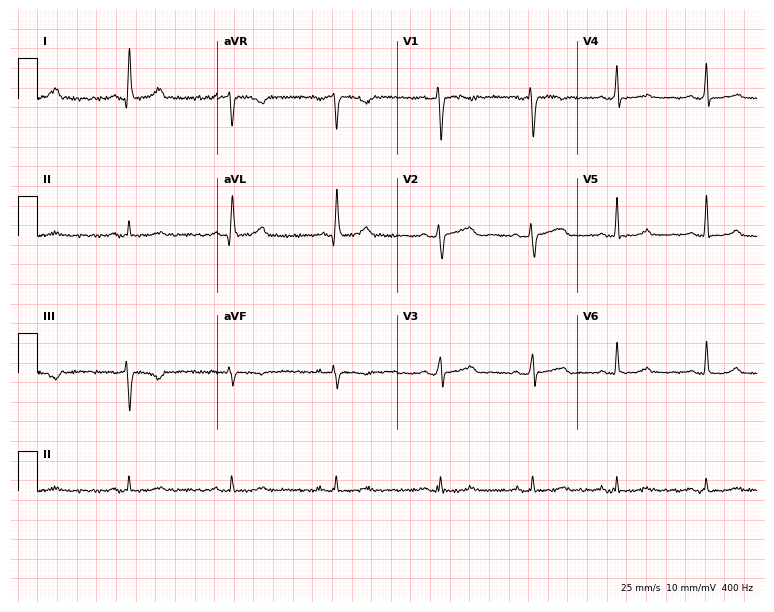
12-lead ECG from a 50-year-old female patient (7.3-second recording at 400 Hz). No first-degree AV block, right bundle branch block, left bundle branch block, sinus bradycardia, atrial fibrillation or sinus tachycardia recorded for this tracing.